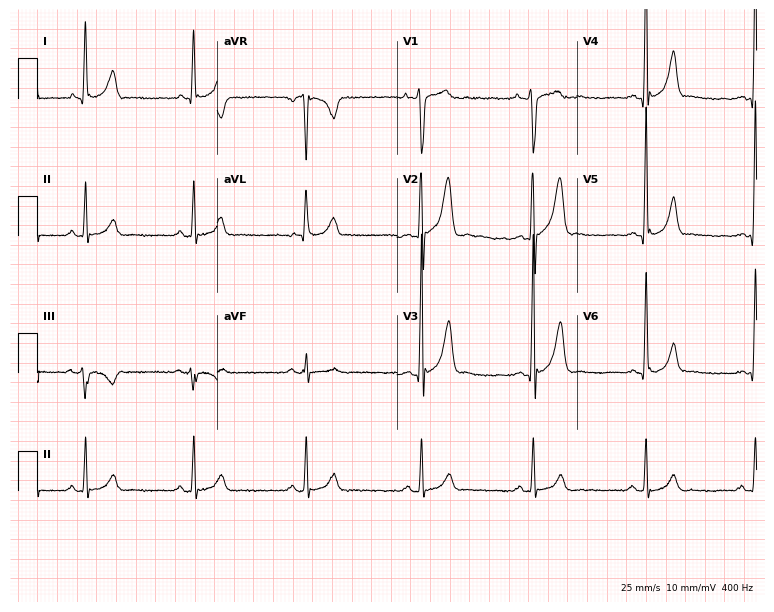
12-lead ECG (7.3-second recording at 400 Hz) from a 28-year-old male. Screened for six findings — first-degree AV block, right bundle branch block, left bundle branch block, sinus bradycardia, atrial fibrillation, sinus tachycardia — none is recorded.